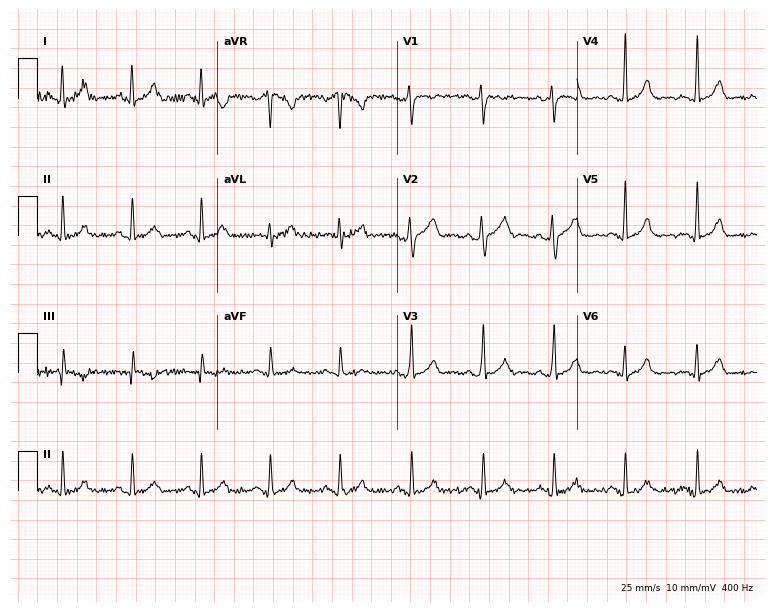
12-lead ECG from a 30-year-old male. Screened for six findings — first-degree AV block, right bundle branch block, left bundle branch block, sinus bradycardia, atrial fibrillation, sinus tachycardia — none is recorded.